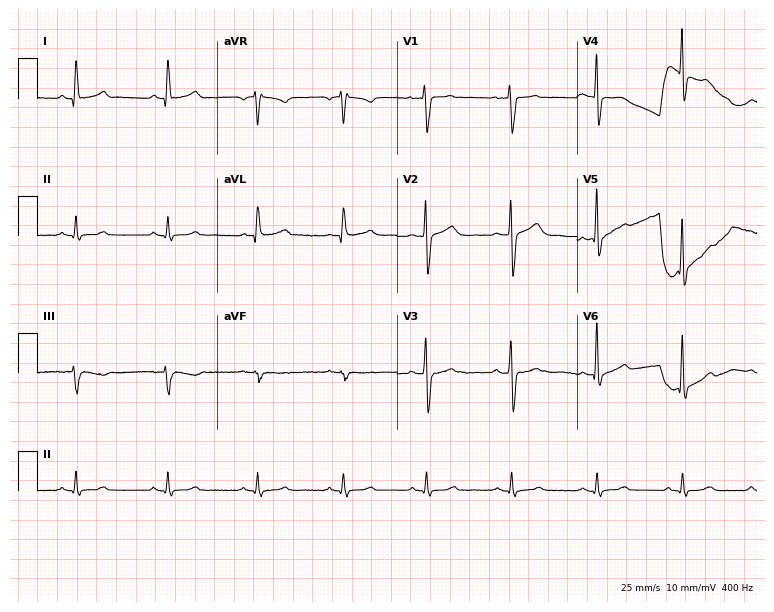
Electrocardiogram (7.3-second recording at 400 Hz), a male, 41 years old. Overall reading on record: normal ECG.